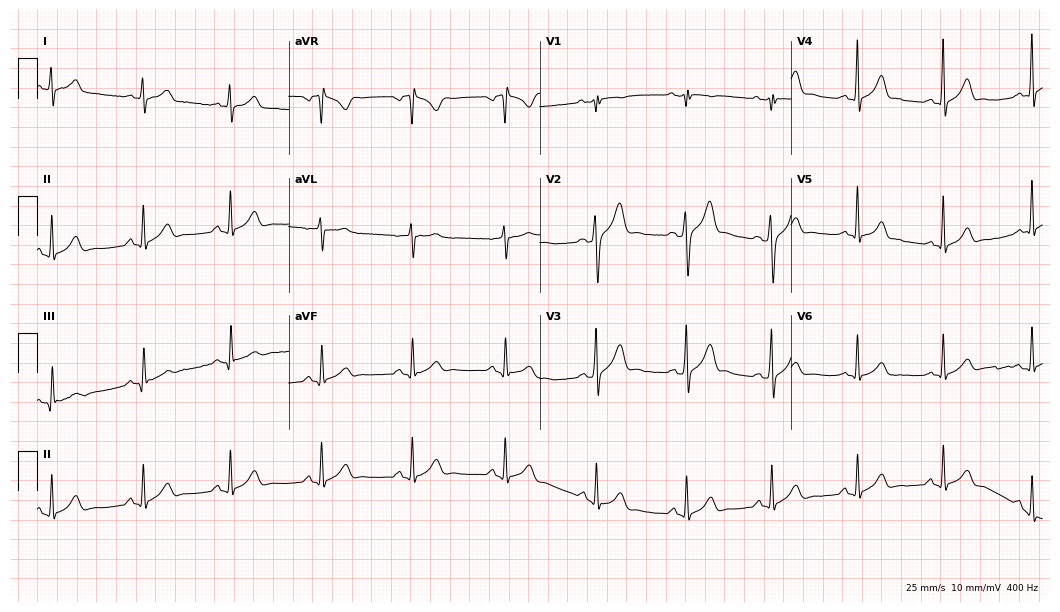
12-lead ECG from a 25-year-old man. Recorded interpretation: within normal limits.